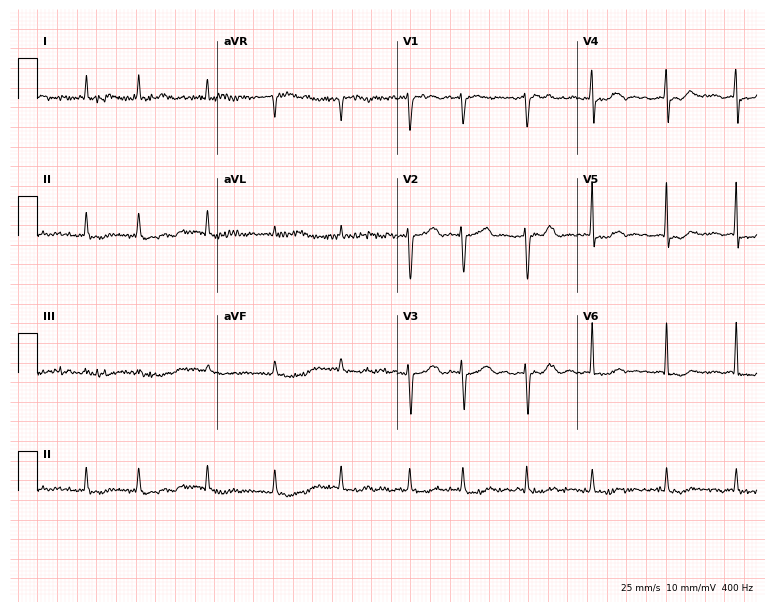
ECG (7.3-second recording at 400 Hz) — an 82-year-old woman. Findings include atrial fibrillation.